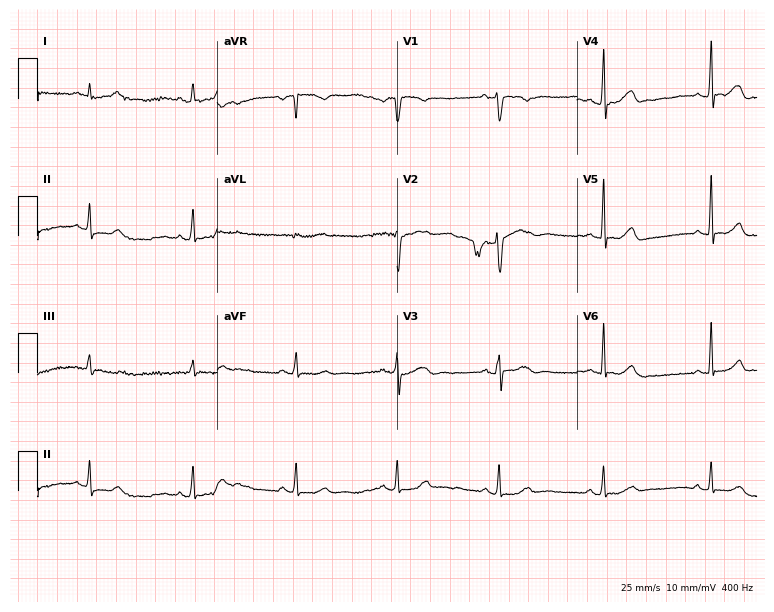
Resting 12-lead electrocardiogram. Patient: a 23-year-old female. Read as a normal ECG.